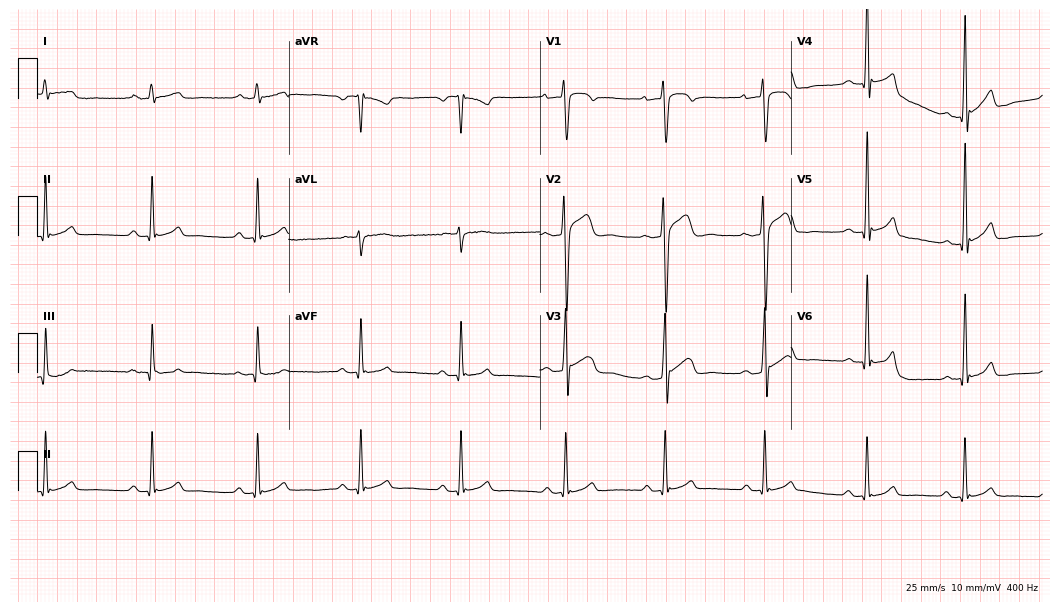
ECG — a 31-year-old man. Screened for six findings — first-degree AV block, right bundle branch block, left bundle branch block, sinus bradycardia, atrial fibrillation, sinus tachycardia — none is recorded.